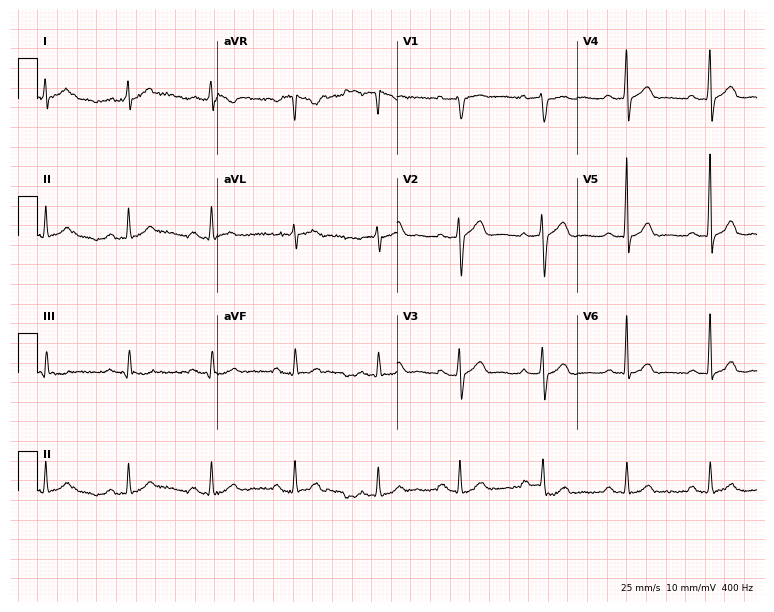
Resting 12-lead electrocardiogram. Patient: a man, 57 years old. None of these six findings is recorded: first-degree AV block, right bundle branch block, left bundle branch block, sinus bradycardia, atrial fibrillation, sinus tachycardia.